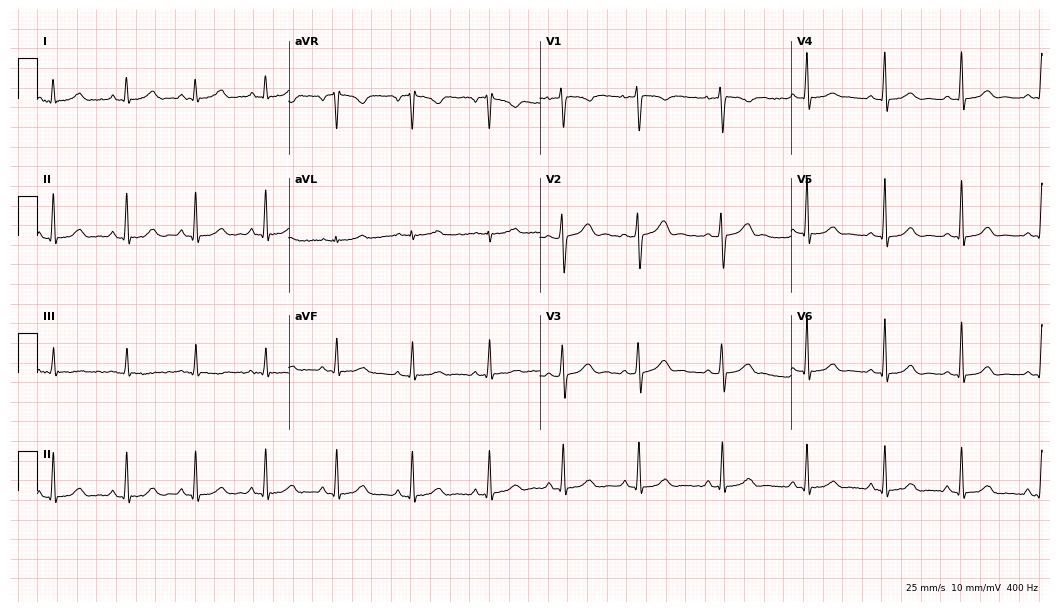
ECG (10.2-second recording at 400 Hz) — a 33-year-old woman. Labelled as a normal ECG.